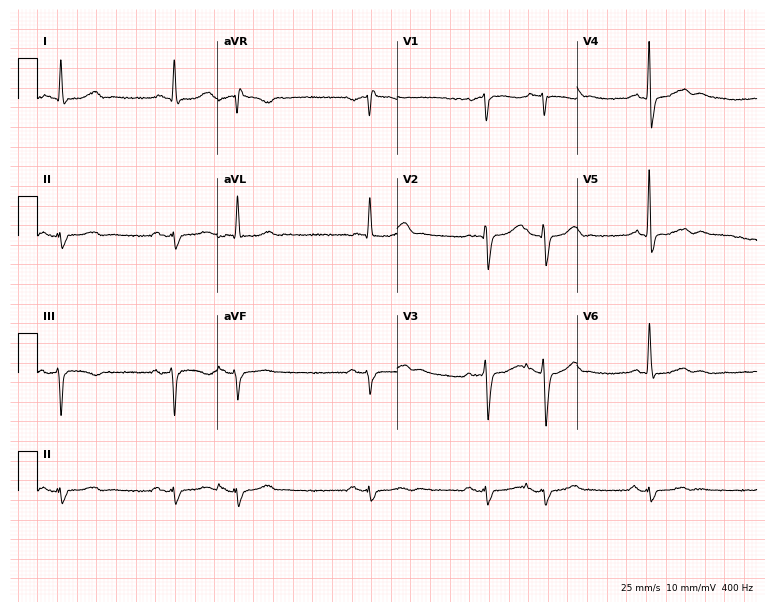
Electrocardiogram, a man, 84 years old. Of the six screened findings (first-degree AV block, right bundle branch block (RBBB), left bundle branch block (LBBB), sinus bradycardia, atrial fibrillation (AF), sinus tachycardia), none is recorded.